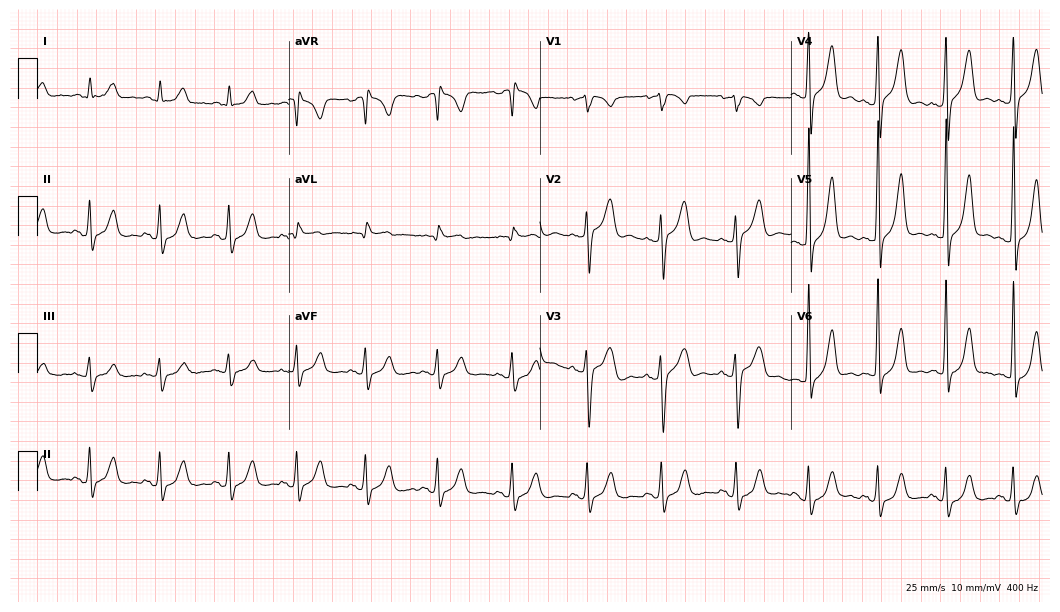
12-lead ECG from a male patient, 59 years old (10.2-second recording at 400 Hz). No first-degree AV block, right bundle branch block (RBBB), left bundle branch block (LBBB), sinus bradycardia, atrial fibrillation (AF) or sinus tachycardia recorded for this tracing. Other findings, if any, are not listed.